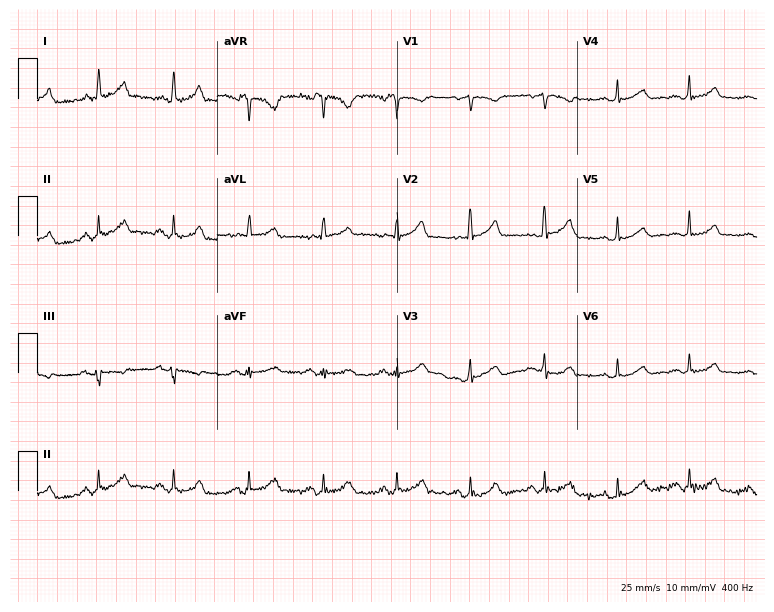
Electrocardiogram, a woman, 62 years old. Overall reading on record: normal ECG.